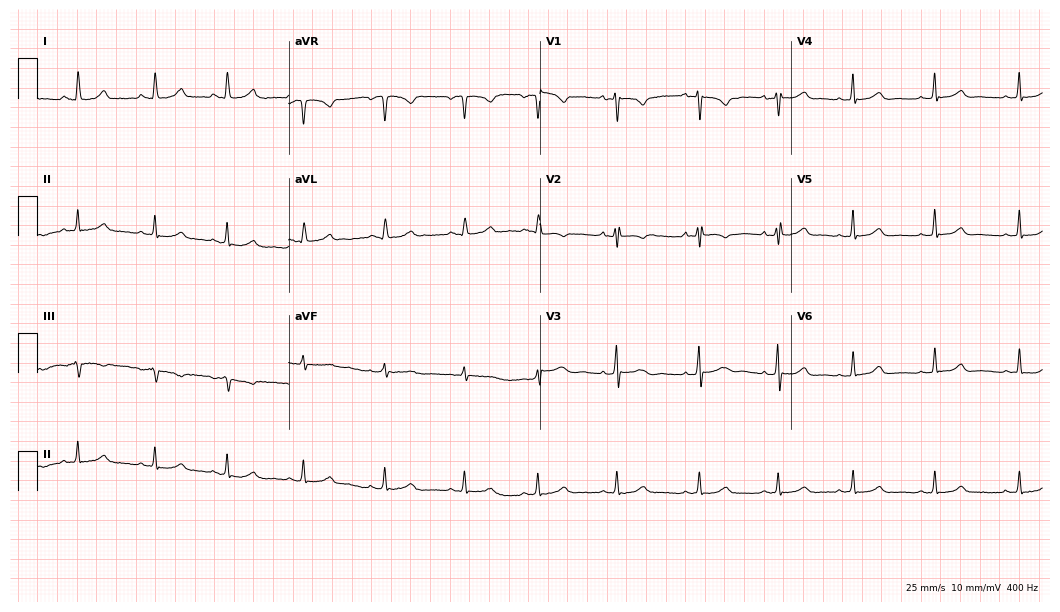
Standard 12-lead ECG recorded from a 19-year-old woman. Read as a normal ECG.